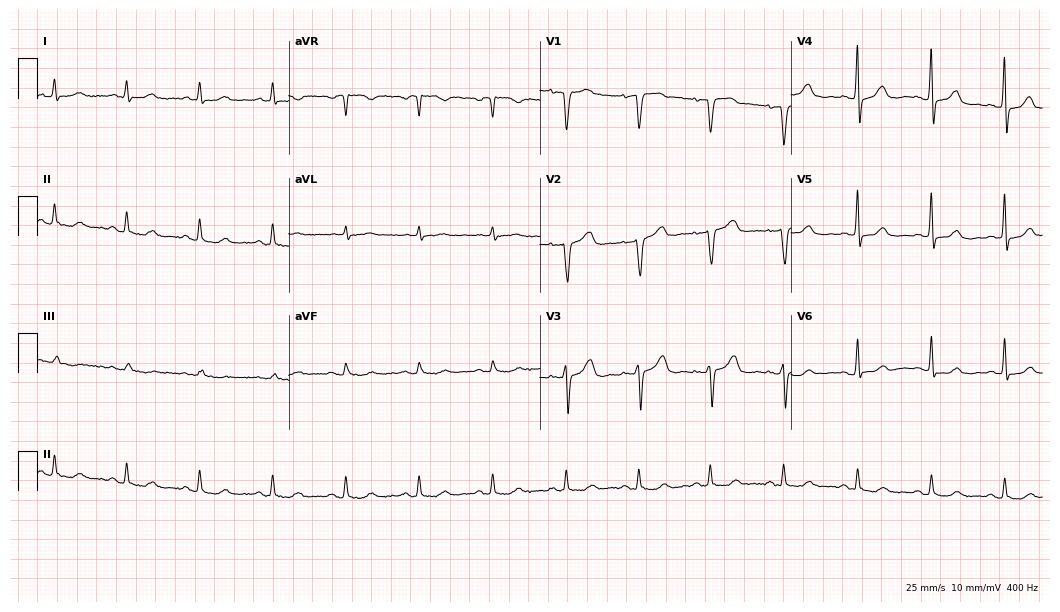
ECG — a 74-year-old female patient. Labelled as a normal ECG.